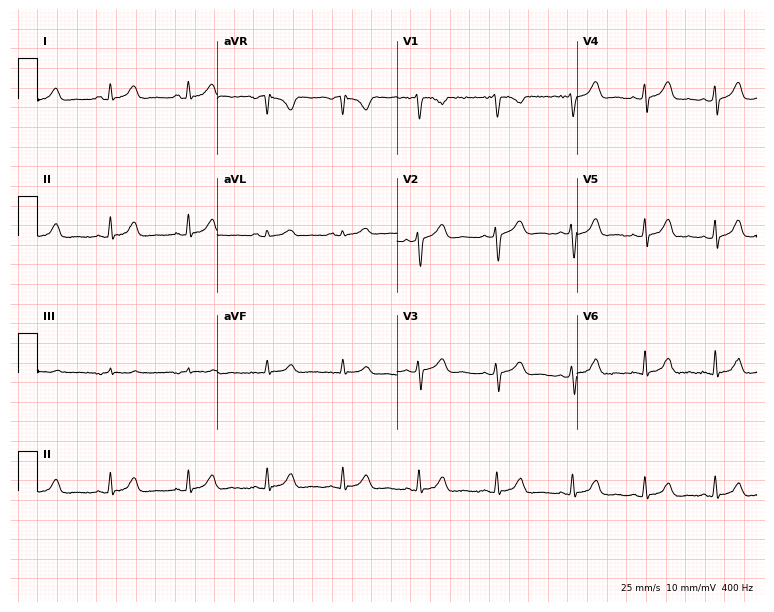
Electrocardiogram (7.3-second recording at 400 Hz), a 20-year-old woman. Of the six screened findings (first-degree AV block, right bundle branch block, left bundle branch block, sinus bradycardia, atrial fibrillation, sinus tachycardia), none is recorded.